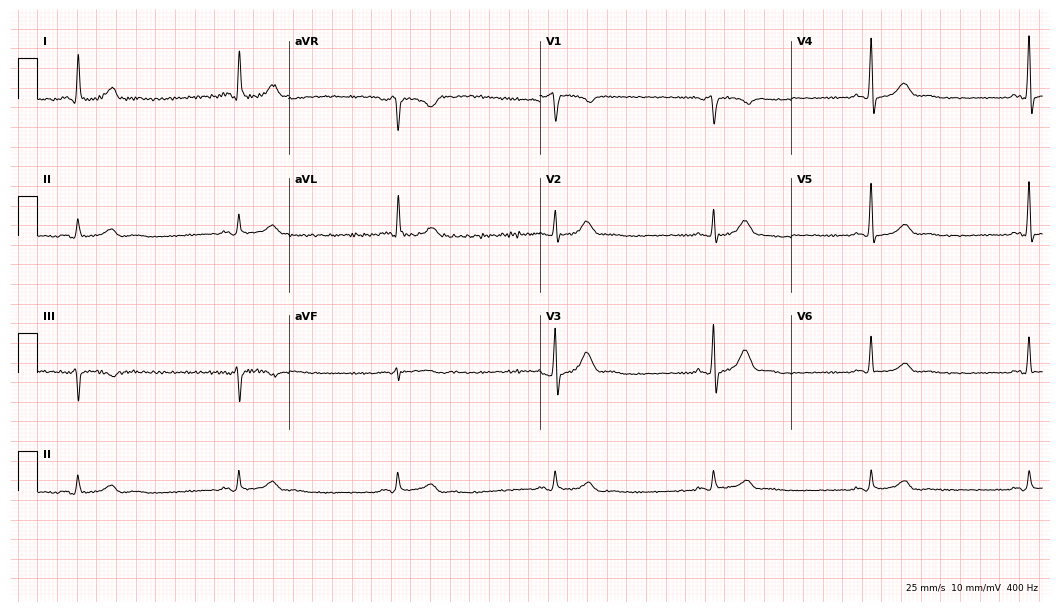
Resting 12-lead electrocardiogram. Patient: a 63-year-old male. The tracing shows sinus bradycardia (a sinus rate of 50 beats per minute or less).